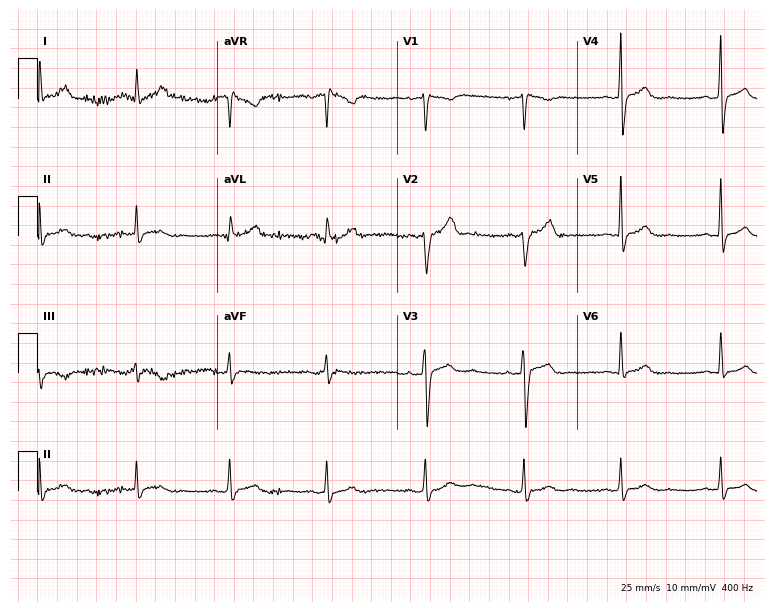
Resting 12-lead electrocardiogram (7.3-second recording at 400 Hz). Patient: a male, 45 years old. Read as a normal ECG.